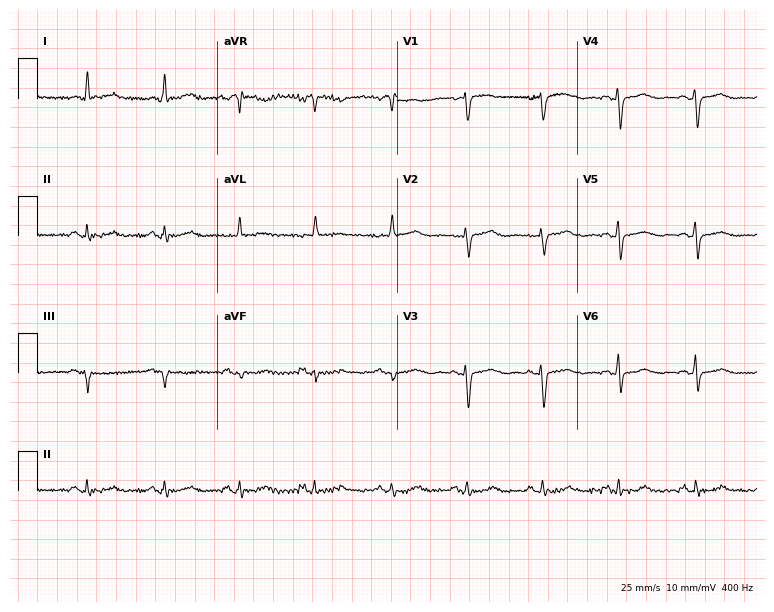
Resting 12-lead electrocardiogram (7.3-second recording at 400 Hz). Patient: a 68-year-old woman. None of these six findings is recorded: first-degree AV block, right bundle branch block, left bundle branch block, sinus bradycardia, atrial fibrillation, sinus tachycardia. Other findings, if any, are not listed.